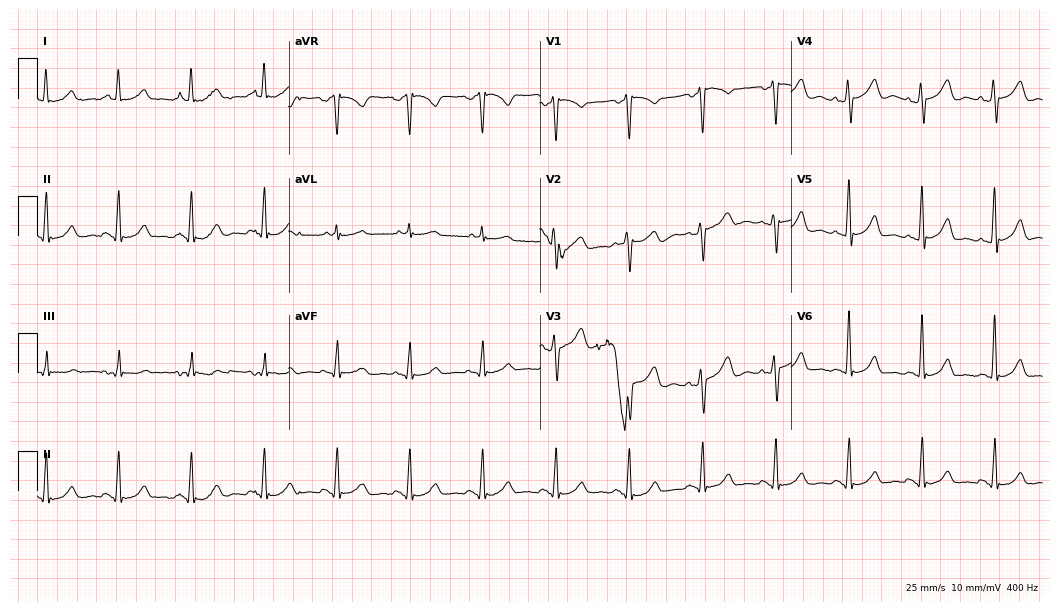
Resting 12-lead electrocardiogram. Patient: a 59-year-old man. None of these six findings is recorded: first-degree AV block, right bundle branch block, left bundle branch block, sinus bradycardia, atrial fibrillation, sinus tachycardia. Other findings, if any, are not listed.